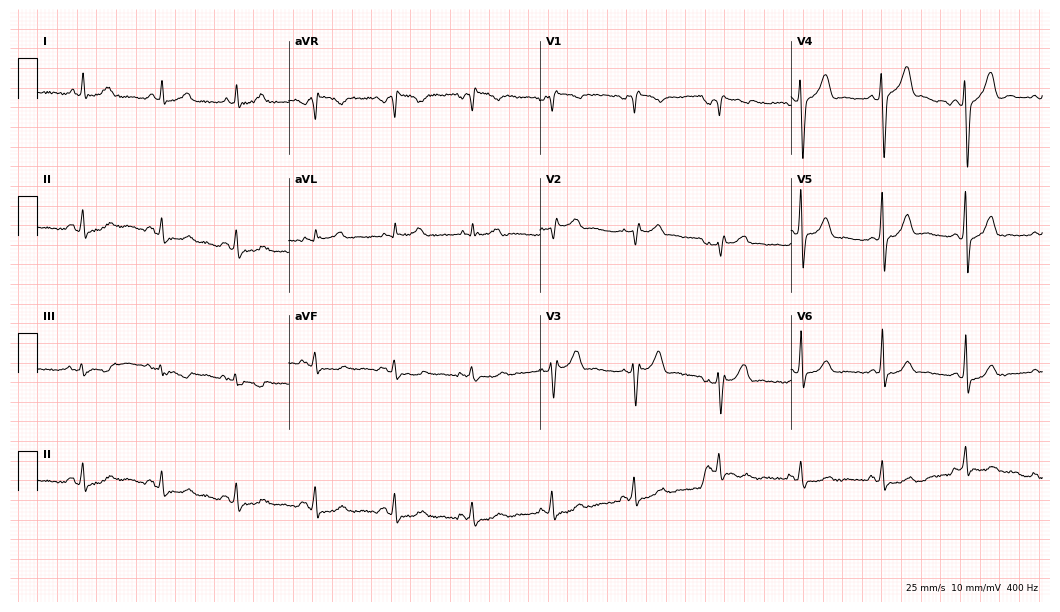
Resting 12-lead electrocardiogram. Patient: a 55-year-old male. None of these six findings is recorded: first-degree AV block, right bundle branch block, left bundle branch block, sinus bradycardia, atrial fibrillation, sinus tachycardia.